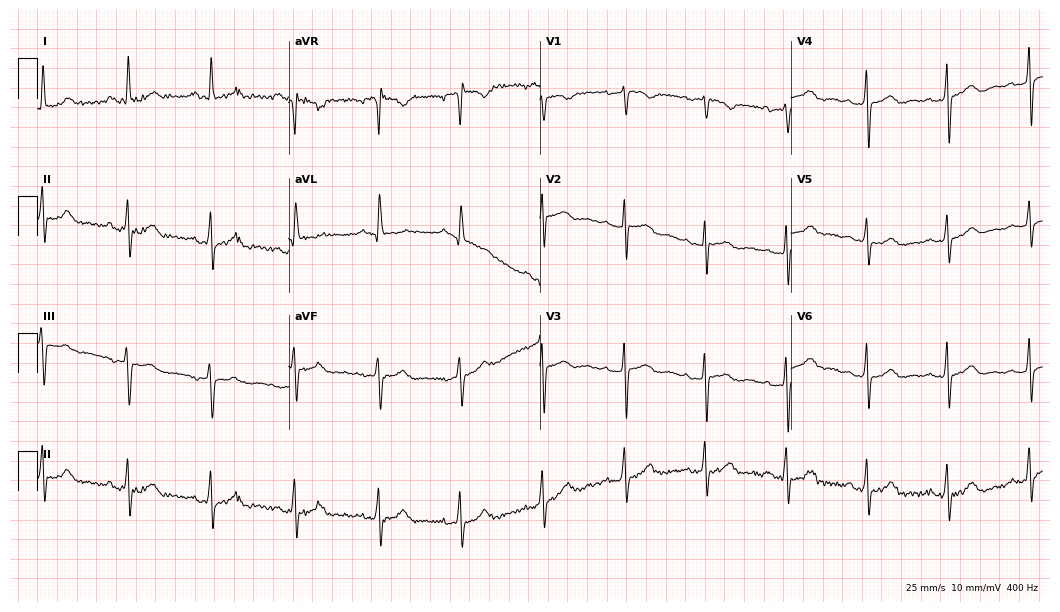
Standard 12-lead ECG recorded from a 66-year-old female (10.2-second recording at 400 Hz). Read as a normal ECG.